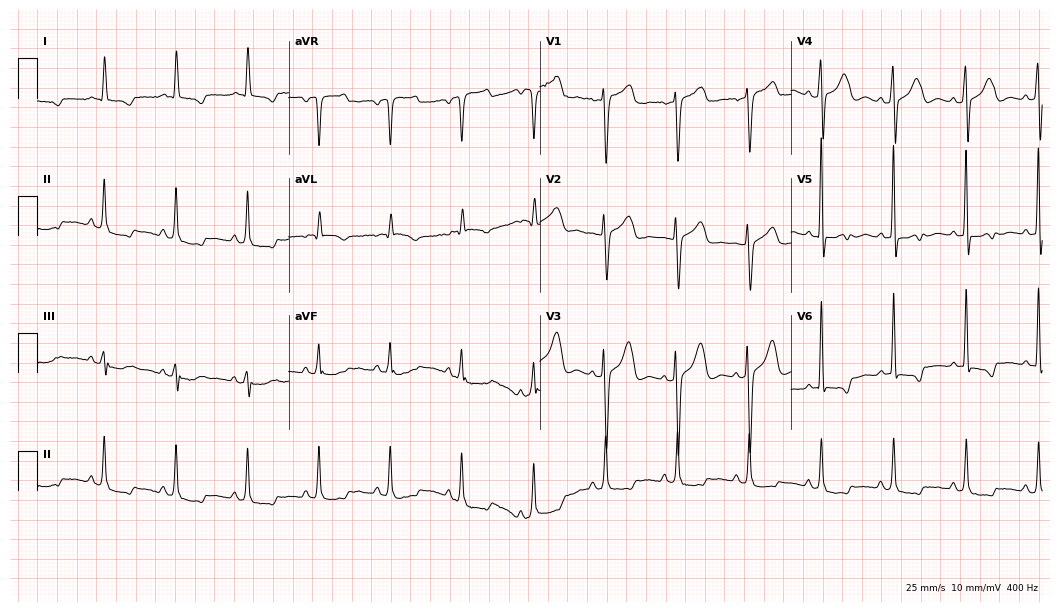
Electrocardiogram (10.2-second recording at 400 Hz), a 58-year-old female patient. Of the six screened findings (first-degree AV block, right bundle branch block (RBBB), left bundle branch block (LBBB), sinus bradycardia, atrial fibrillation (AF), sinus tachycardia), none is recorded.